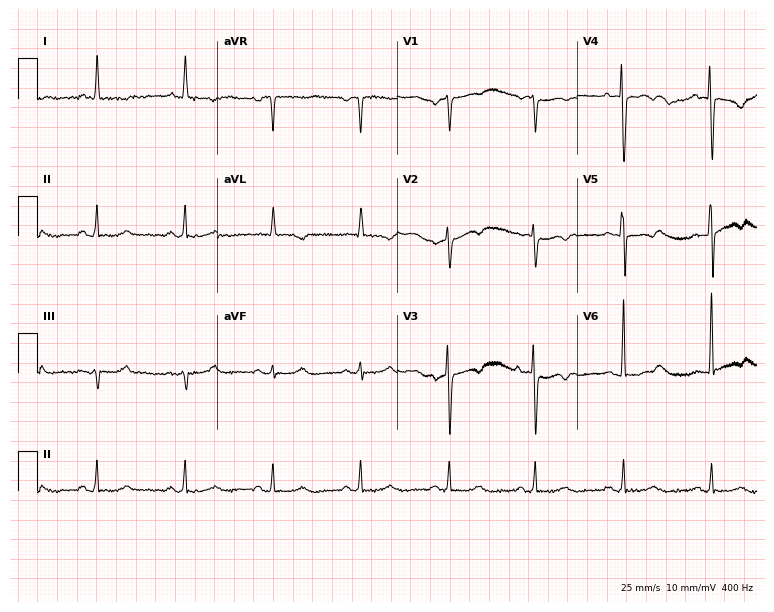
12-lead ECG from a female, 72 years old (7.3-second recording at 400 Hz). No first-degree AV block, right bundle branch block, left bundle branch block, sinus bradycardia, atrial fibrillation or sinus tachycardia recorded for this tracing. Only these six findings were labelled.